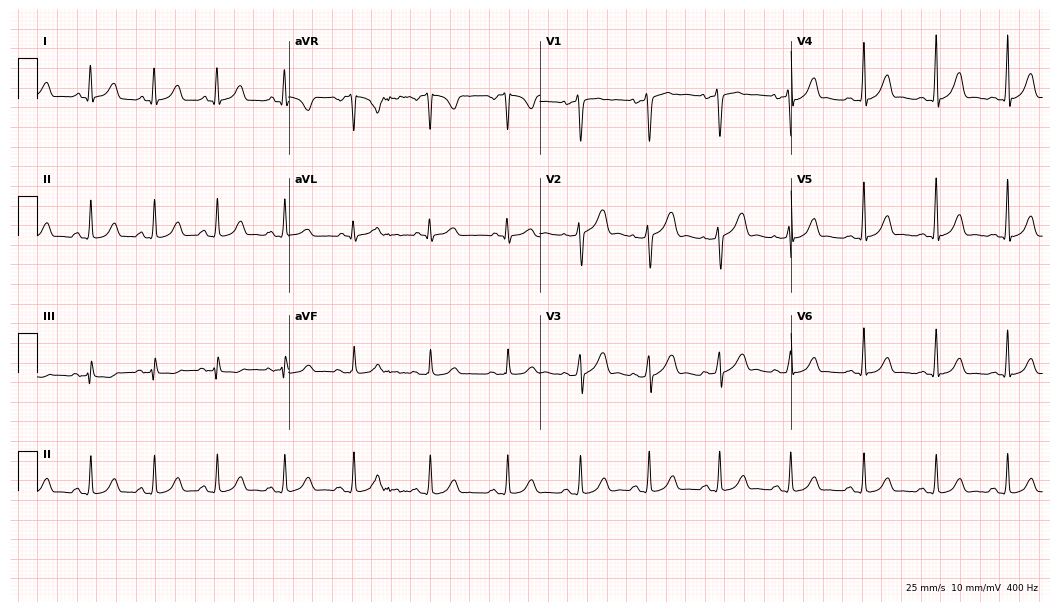
12-lead ECG from a female, 29 years old. Recorded interpretation: within normal limits.